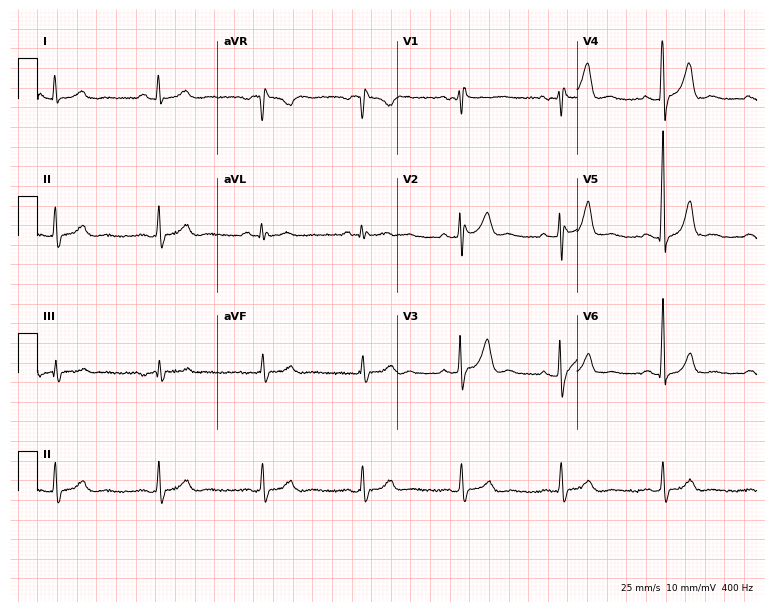
Standard 12-lead ECG recorded from a man, 32 years old (7.3-second recording at 400 Hz). None of these six findings is recorded: first-degree AV block, right bundle branch block, left bundle branch block, sinus bradycardia, atrial fibrillation, sinus tachycardia. Only these six findings were labelled.